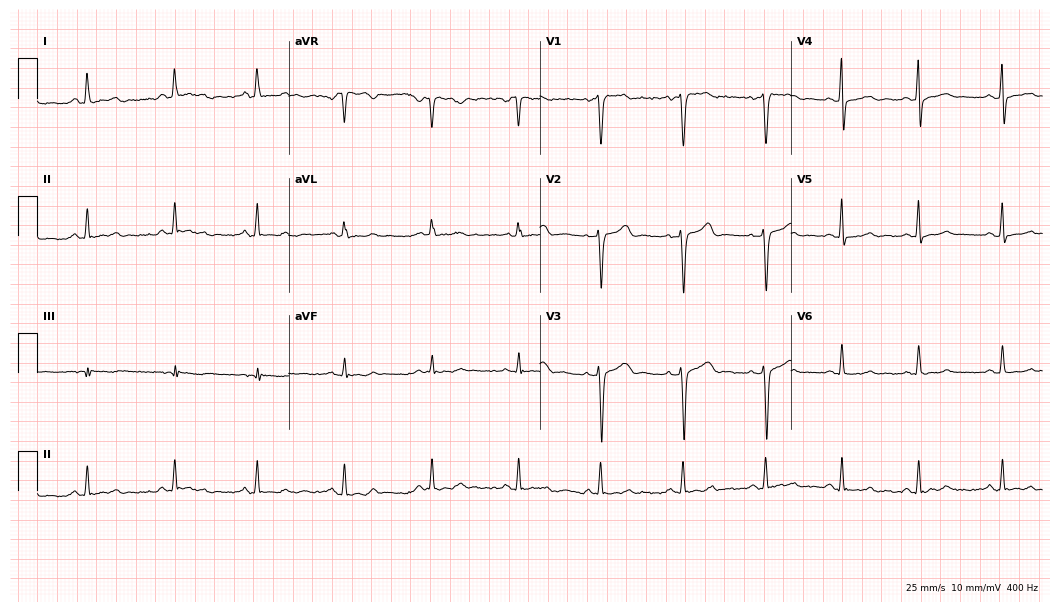
ECG (10.2-second recording at 400 Hz) — a woman, 41 years old. Labelled as a normal ECG.